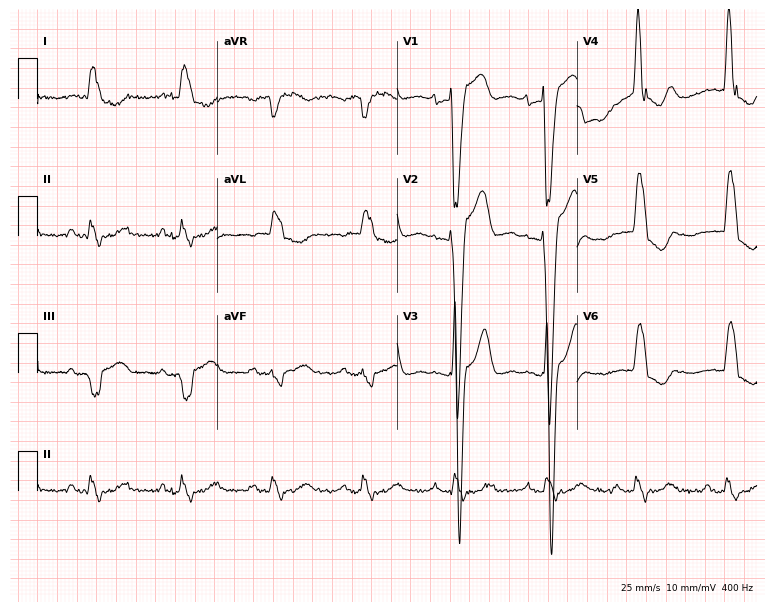
ECG (7.3-second recording at 400 Hz) — an 85-year-old female. Screened for six findings — first-degree AV block, right bundle branch block (RBBB), left bundle branch block (LBBB), sinus bradycardia, atrial fibrillation (AF), sinus tachycardia — none is recorded.